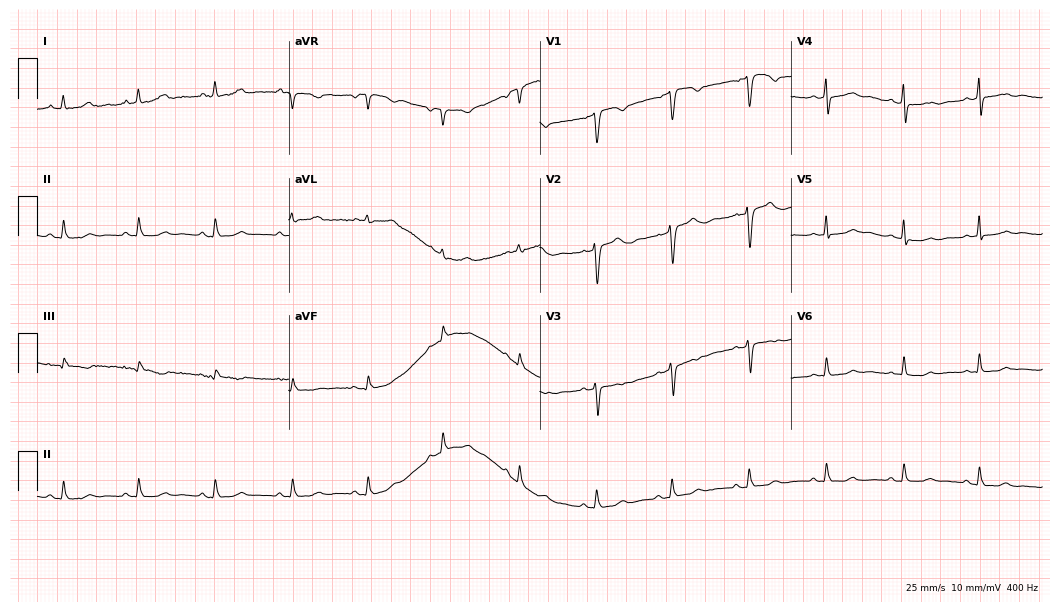
Resting 12-lead electrocardiogram. Patient: a 38-year-old female. None of these six findings is recorded: first-degree AV block, right bundle branch block, left bundle branch block, sinus bradycardia, atrial fibrillation, sinus tachycardia. Other findings, if any, are not listed.